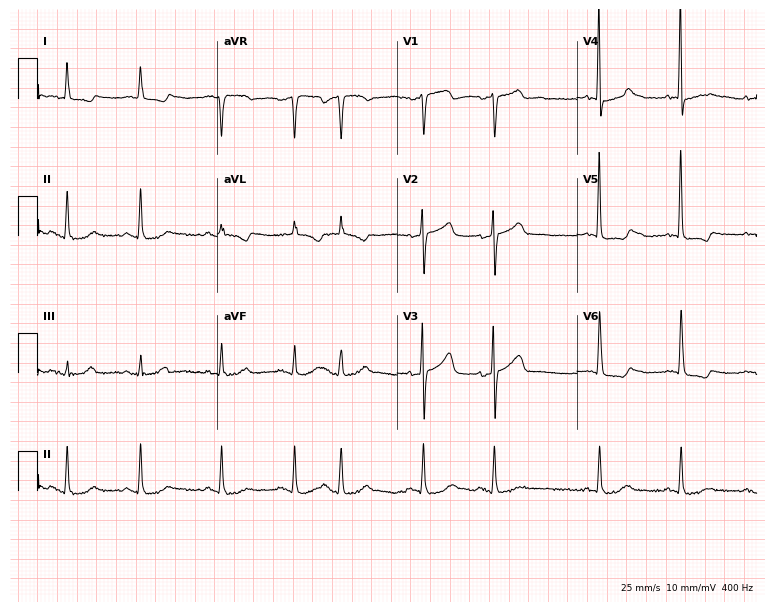
ECG (7.3-second recording at 400 Hz) — a 78-year-old female patient. Screened for six findings — first-degree AV block, right bundle branch block, left bundle branch block, sinus bradycardia, atrial fibrillation, sinus tachycardia — none is recorded.